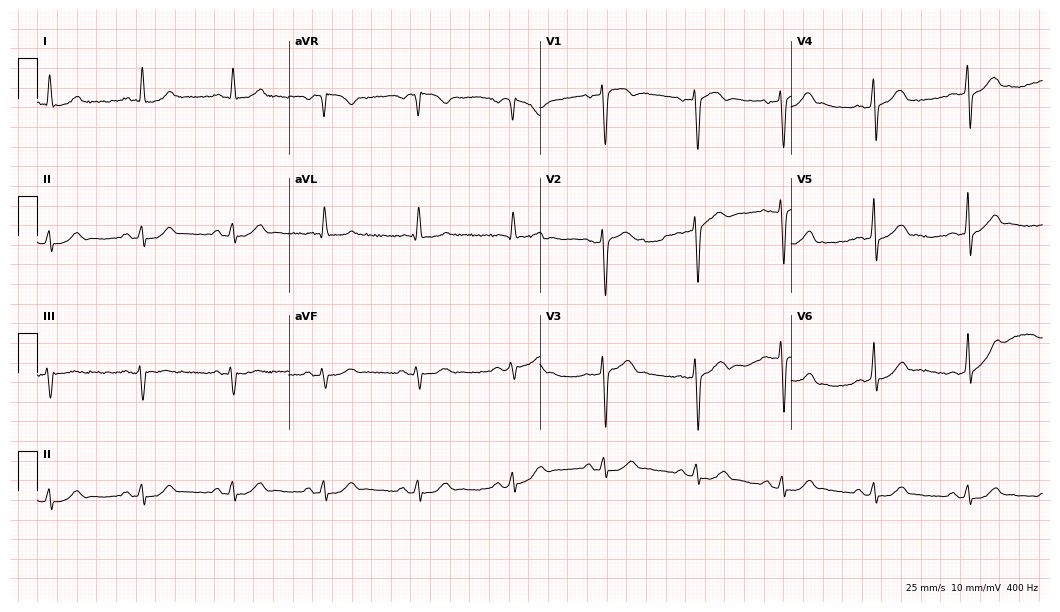
Electrocardiogram, a male, 74 years old. Overall reading on record: normal ECG.